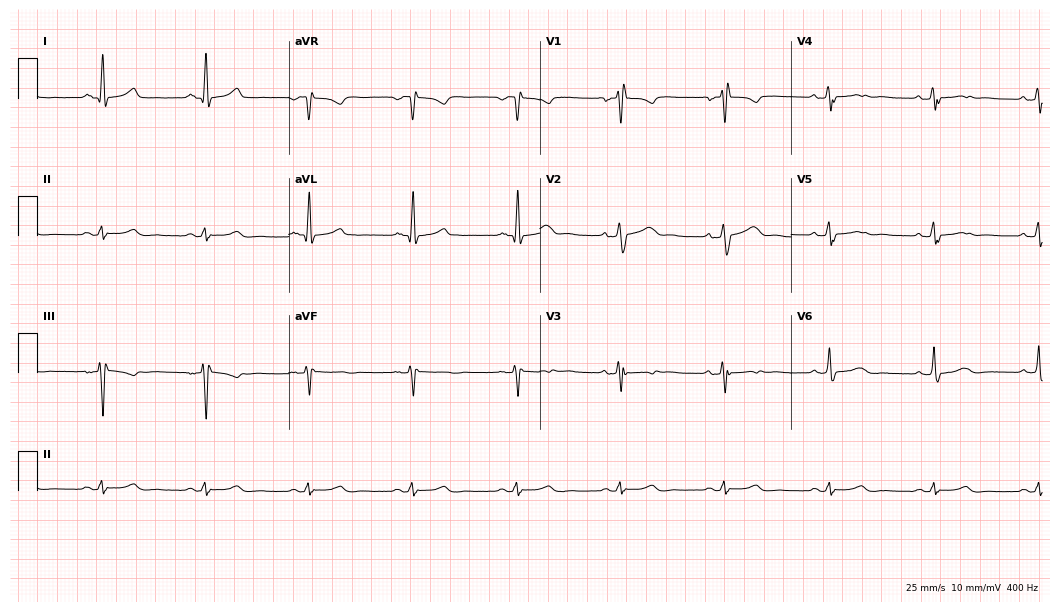
Electrocardiogram (10.2-second recording at 400 Hz), a man, 63 years old. Interpretation includes sinus bradycardia (a sinus rate of 50 beats per minute or less).